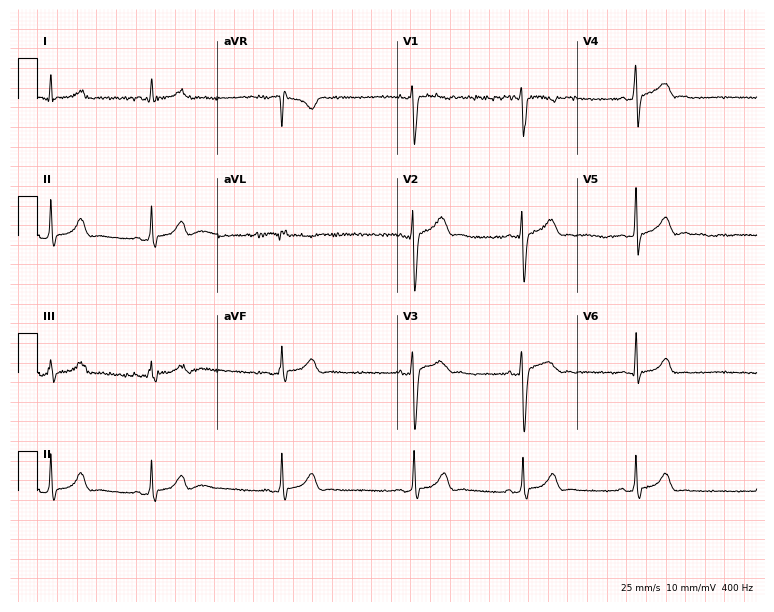
Electrocardiogram, a man, 17 years old. Of the six screened findings (first-degree AV block, right bundle branch block, left bundle branch block, sinus bradycardia, atrial fibrillation, sinus tachycardia), none is recorded.